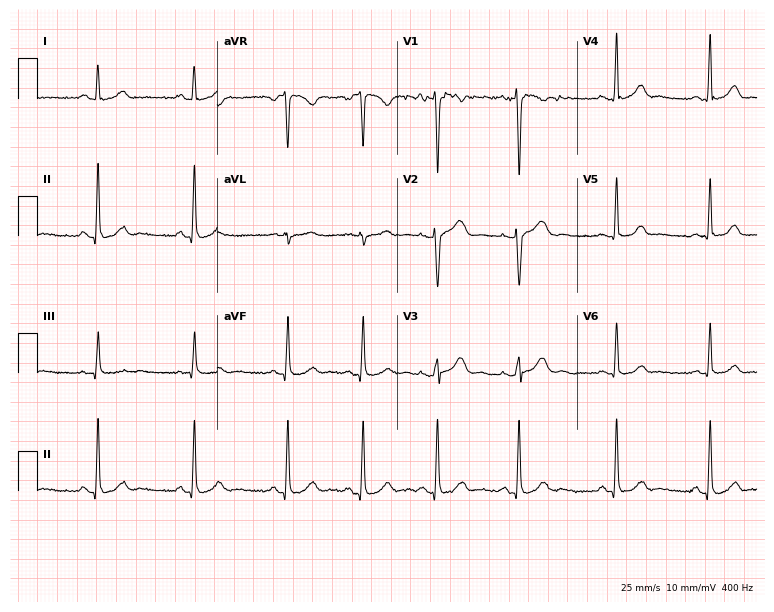
Electrocardiogram (7.3-second recording at 400 Hz), a 21-year-old female. Of the six screened findings (first-degree AV block, right bundle branch block, left bundle branch block, sinus bradycardia, atrial fibrillation, sinus tachycardia), none is recorded. Findings outside these six are not listed.